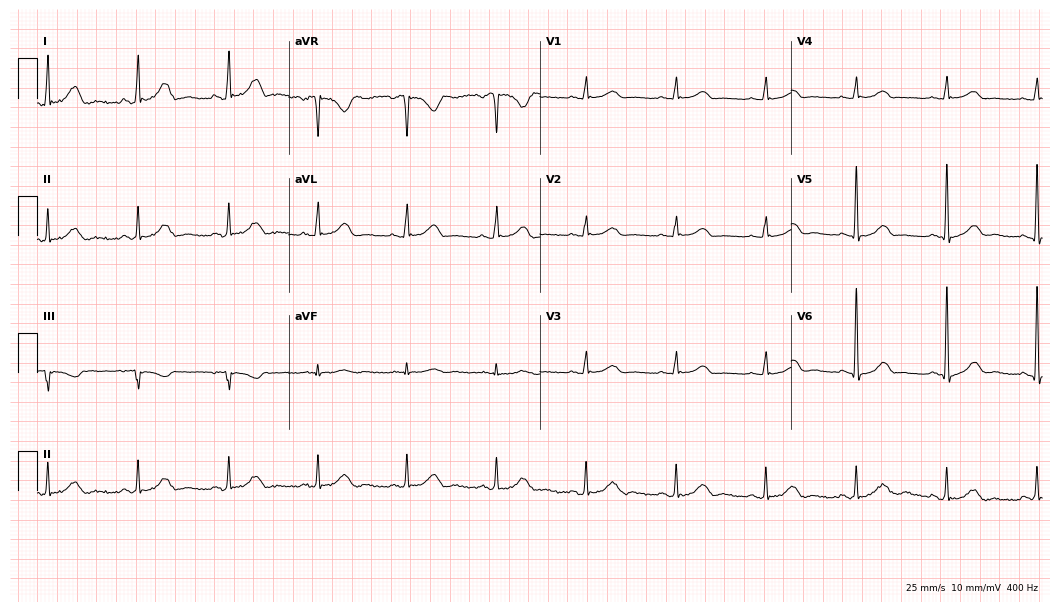
12-lead ECG from a 77-year-old female. Recorded interpretation: within normal limits.